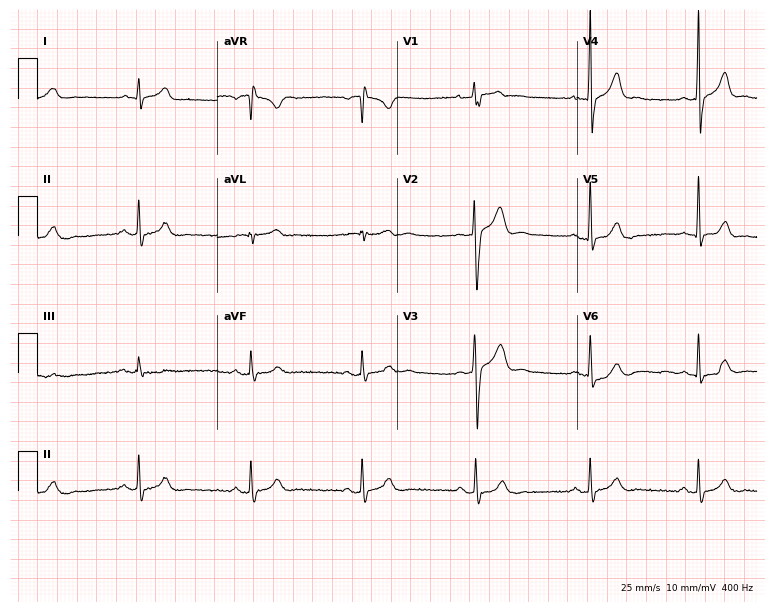
12-lead ECG (7.3-second recording at 400 Hz) from a woman, 40 years old. Labelled as a normal ECG.